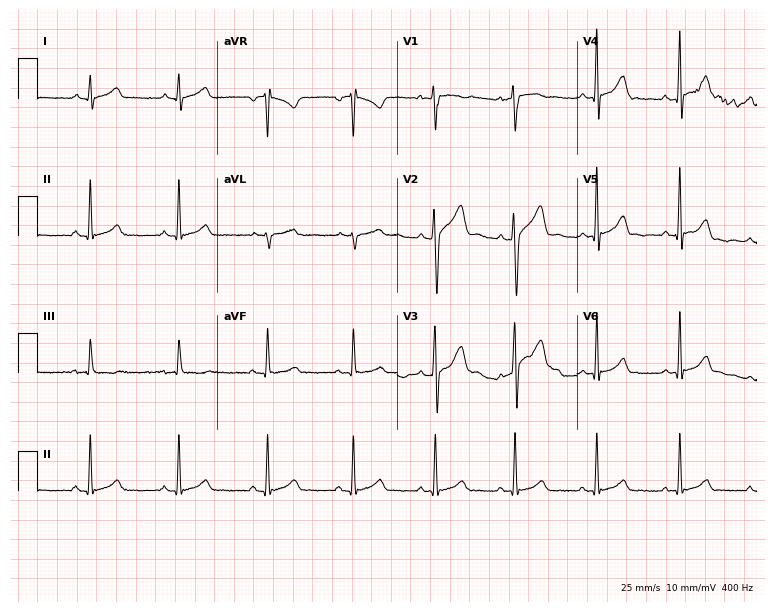
12-lead ECG from a male, 18 years old. Screened for six findings — first-degree AV block, right bundle branch block (RBBB), left bundle branch block (LBBB), sinus bradycardia, atrial fibrillation (AF), sinus tachycardia — none is recorded. Findings outside these six are not listed.